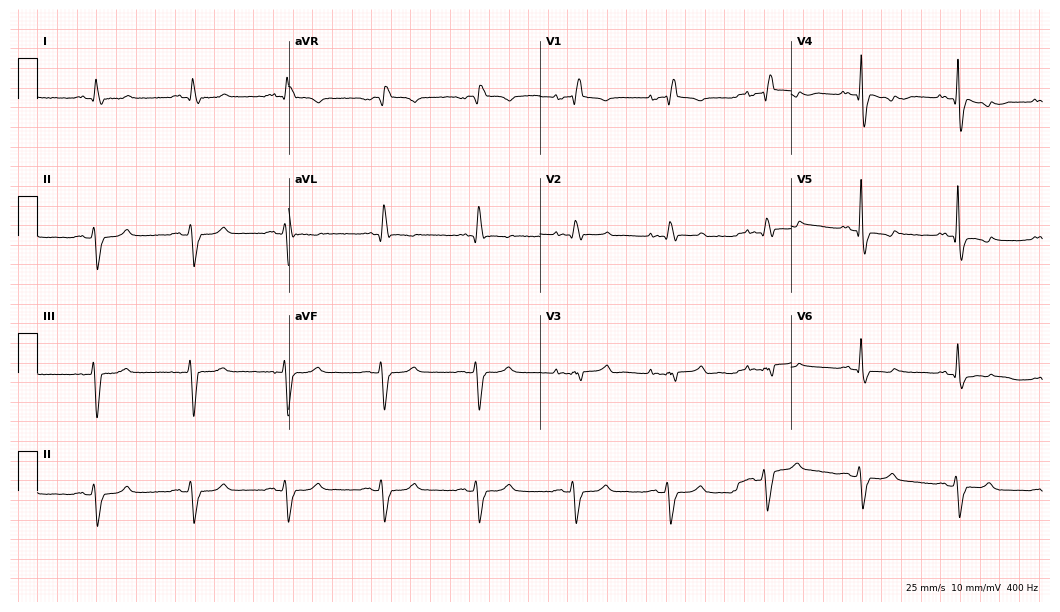
Resting 12-lead electrocardiogram (10.2-second recording at 400 Hz). Patient: a male, 82 years old. The tracing shows right bundle branch block.